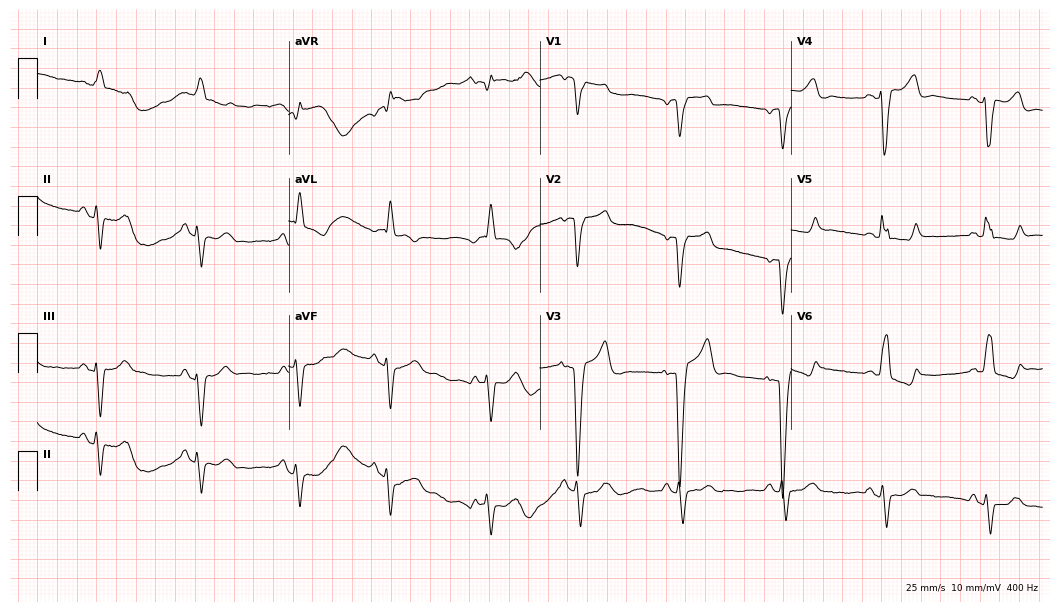
ECG — a female patient, 73 years old. Findings include left bundle branch block.